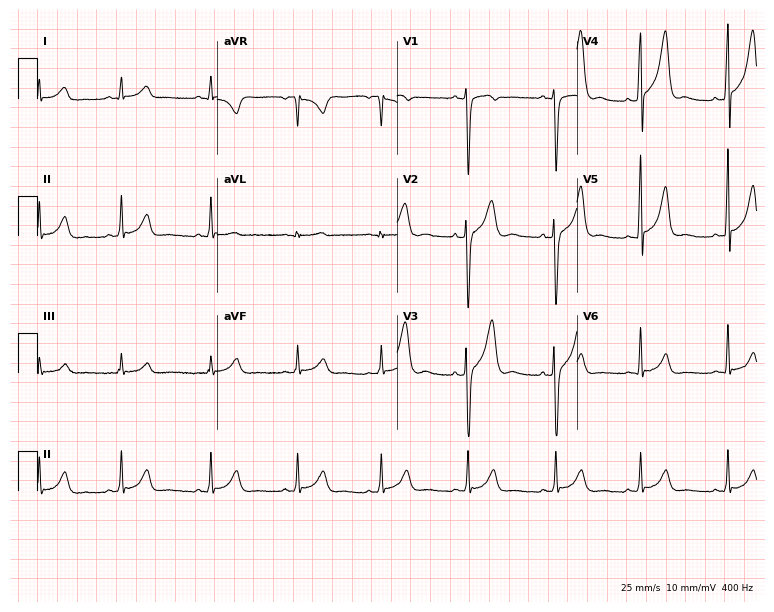
12-lead ECG from a man, 27 years old. Screened for six findings — first-degree AV block, right bundle branch block, left bundle branch block, sinus bradycardia, atrial fibrillation, sinus tachycardia — none is recorded.